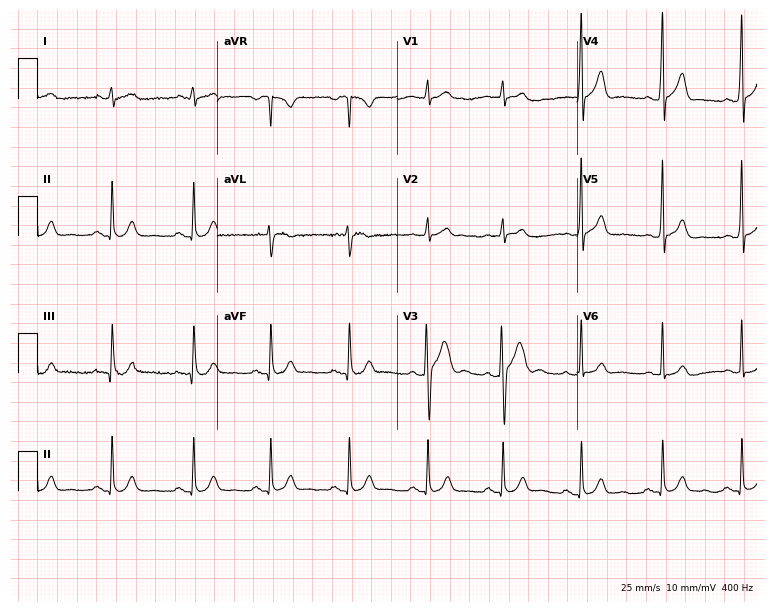
Electrocardiogram, a man, 26 years old. Overall reading on record: normal ECG.